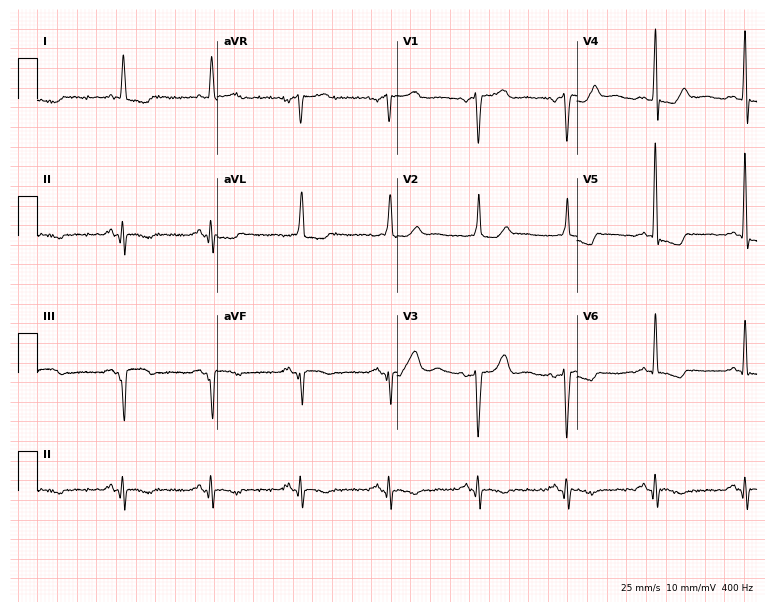
12-lead ECG from an 83-year-old female. No first-degree AV block, right bundle branch block (RBBB), left bundle branch block (LBBB), sinus bradycardia, atrial fibrillation (AF) or sinus tachycardia recorded for this tracing. Other findings, if any, are not listed.